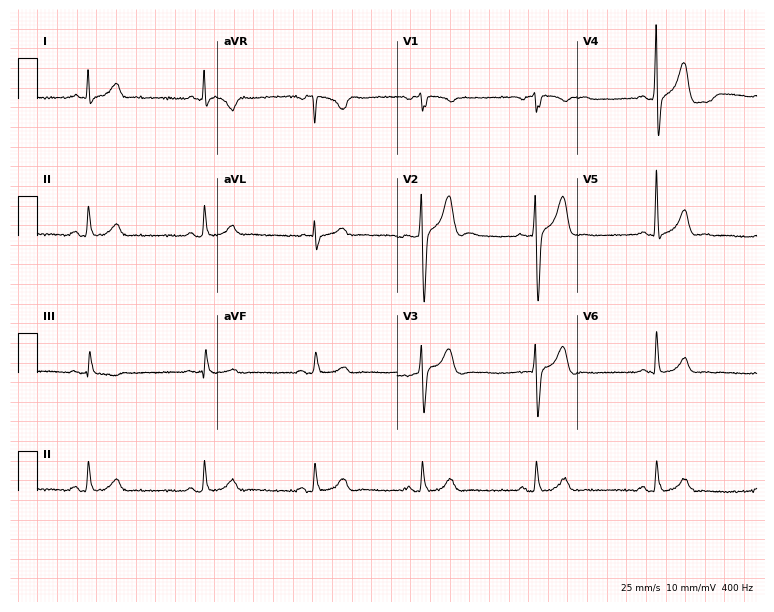
Resting 12-lead electrocardiogram. Patient: a female, 58 years old. Read as a normal ECG.